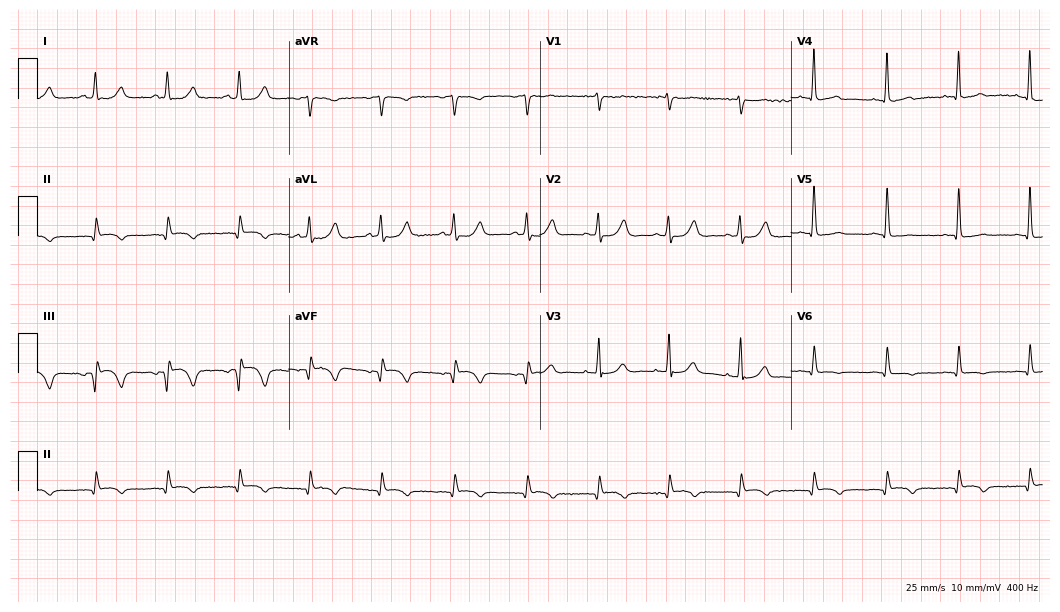
ECG (10.2-second recording at 400 Hz) — a 47-year-old female patient. Screened for six findings — first-degree AV block, right bundle branch block, left bundle branch block, sinus bradycardia, atrial fibrillation, sinus tachycardia — none is recorded.